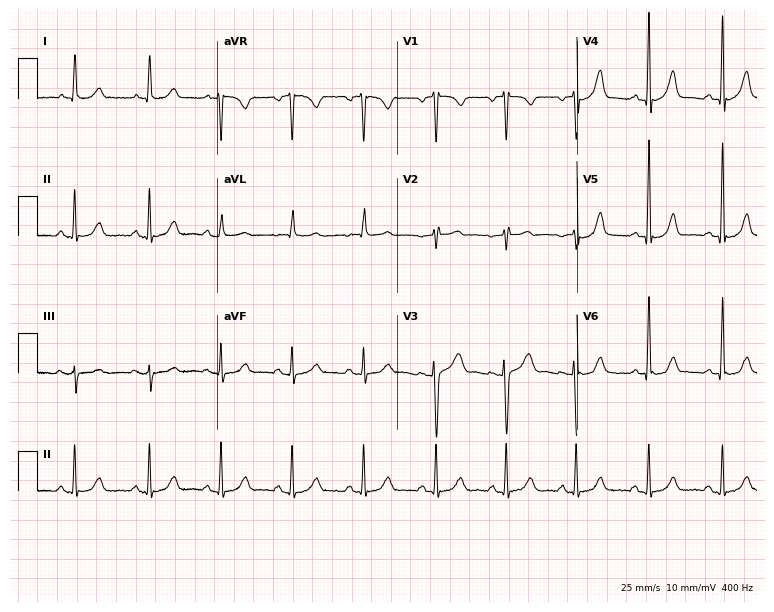
ECG (7.3-second recording at 400 Hz) — a 35-year-old female. Screened for six findings — first-degree AV block, right bundle branch block, left bundle branch block, sinus bradycardia, atrial fibrillation, sinus tachycardia — none is recorded.